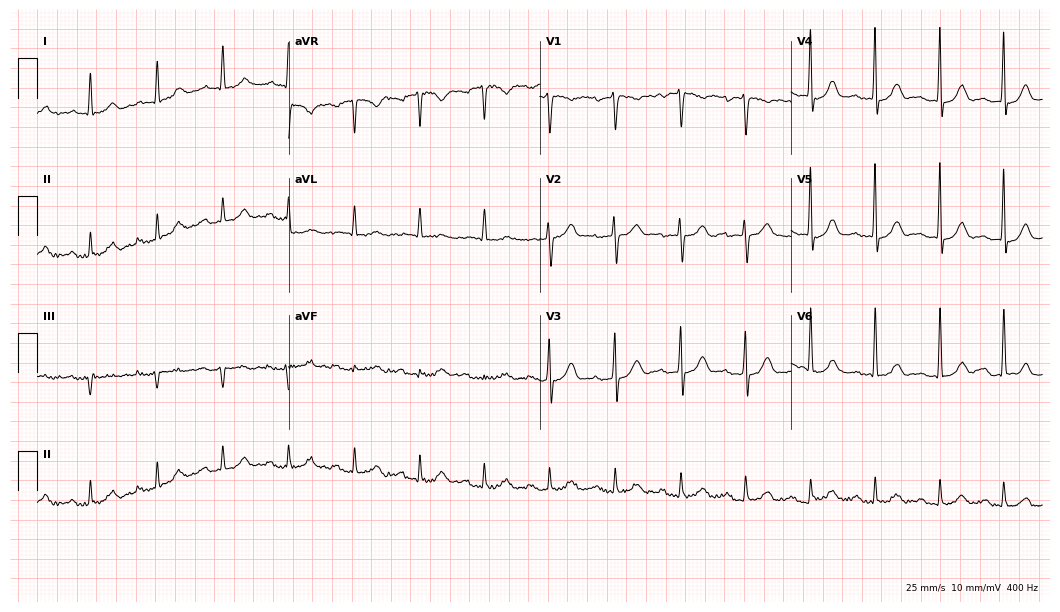
12-lead ECG (10.2-second recording at 400 Hz) from a man, 64 years old. Screened for six findings — first-degree AV block, right bundle branch block, left bundle branch block, sinus bradycardia, atrial fibrillation, sinus tachycardia — none is recorded.